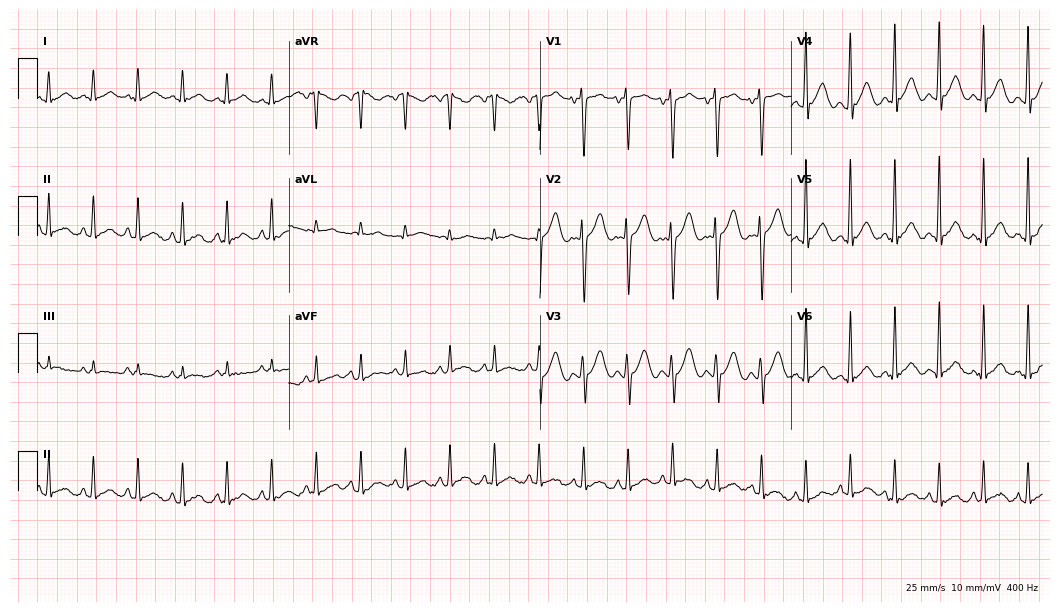
Standard 12-lead ECG recorded from a 27-year-old male patient (10.2-second recording at 400 Hz). The tracing shows sinus tachycardia (a sinus rate of 100 beats per minute or more).